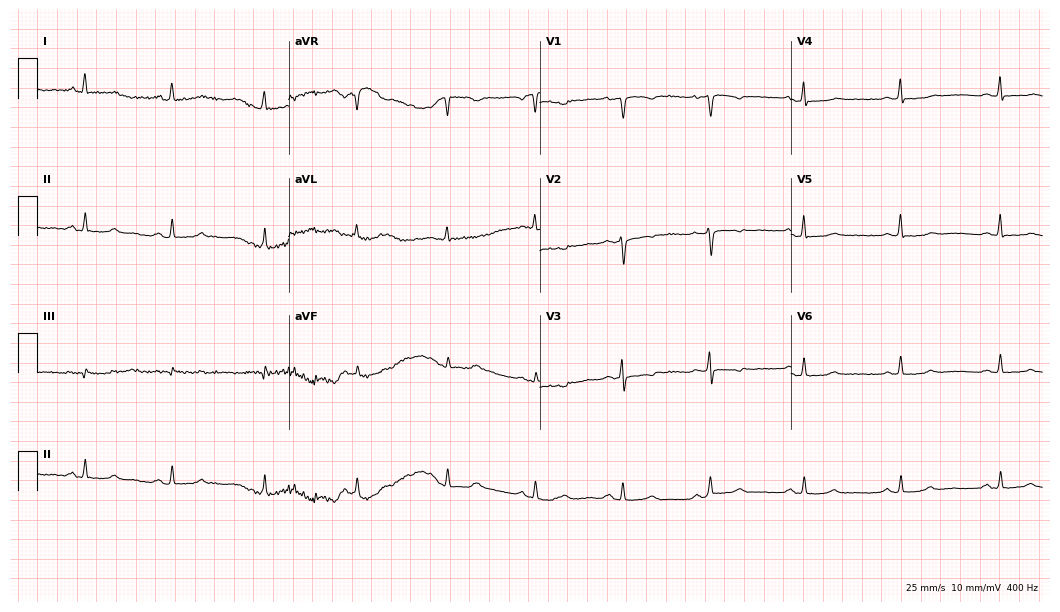
Standard 12-lead ECG recorded from a 47-year-old female patient (10.2-second recording at 400 Hz). Read as a normal ECG.